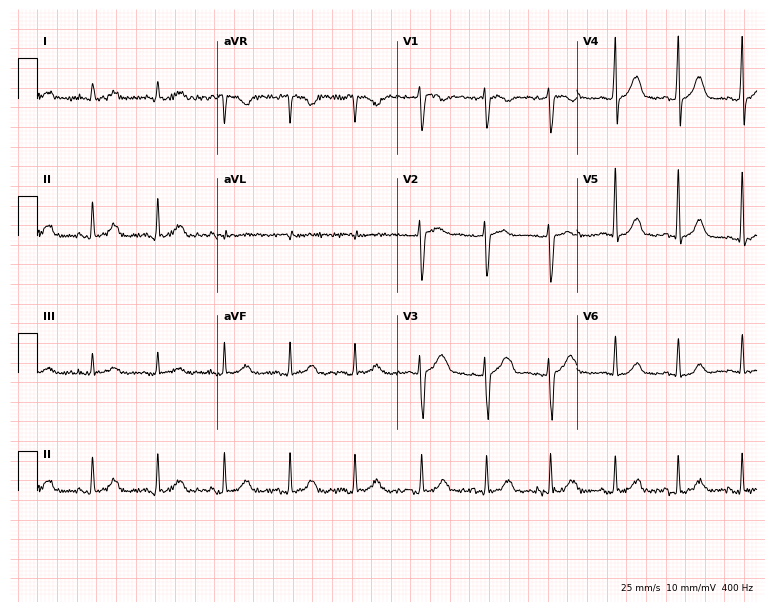
12-lead ECG (7.3-second recording at 400 Hz) from a 78-year-old female. Labelled as a normal ECG.